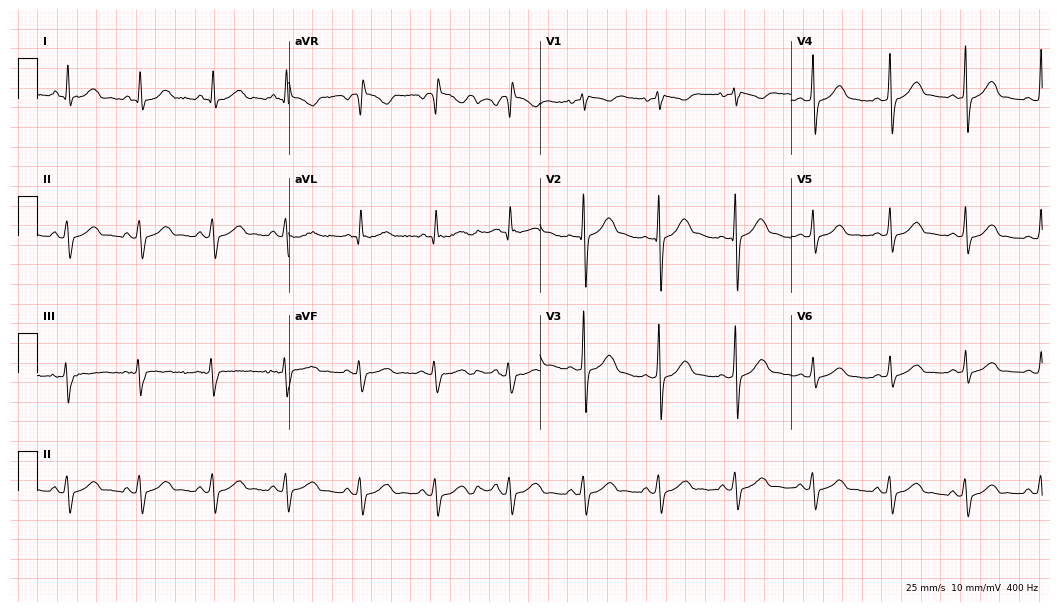
12-lead ECG from a male, 28 years old. No first-degree AV block, right bundle branch block, left bundle branch block, sinus bradycardia, atrial fibrillation or sinus tachycardia recorded for this tracing. Only these six findings were labelled.